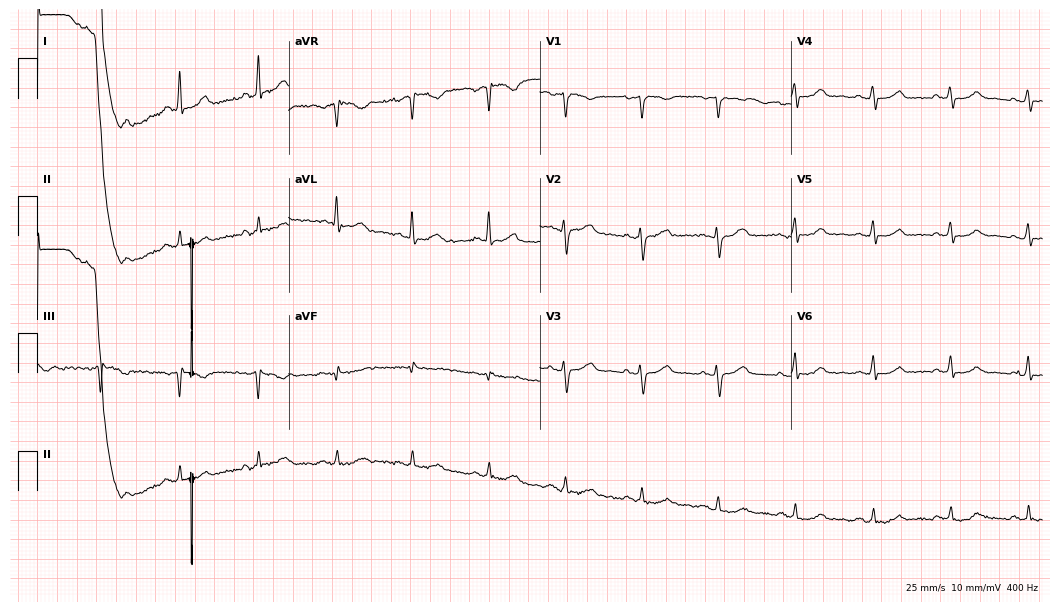
Standard 12-lead ECG recorded from a 66-year-old woman. None of these six findings is recorded: first-degree AV block, right bundle branch block (RBBB), left bundle branch block (LBBB), sinus bradycardia, atrial fibrillation (AF), sinus tachycardia. Other findings, if any, are not listed.